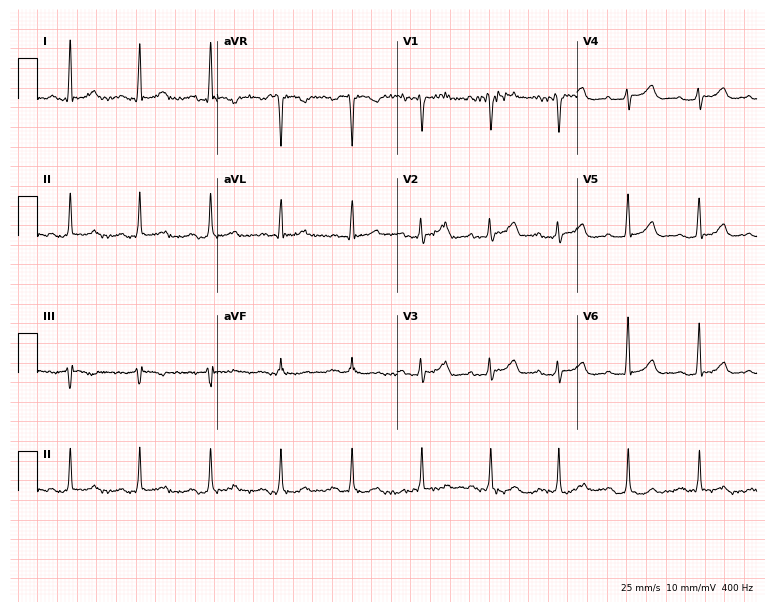
Standard 12-lead ECG recorded from a 58-year-old female patient (7.3-second recording at 400 Hz). None of these six findings is recorded: first-degree AV block, right bundle branch block (RBBB), left bundle branch block (LBBB), sinus bradycardia, atrial fibrillation (AF), sinus tachycardia.